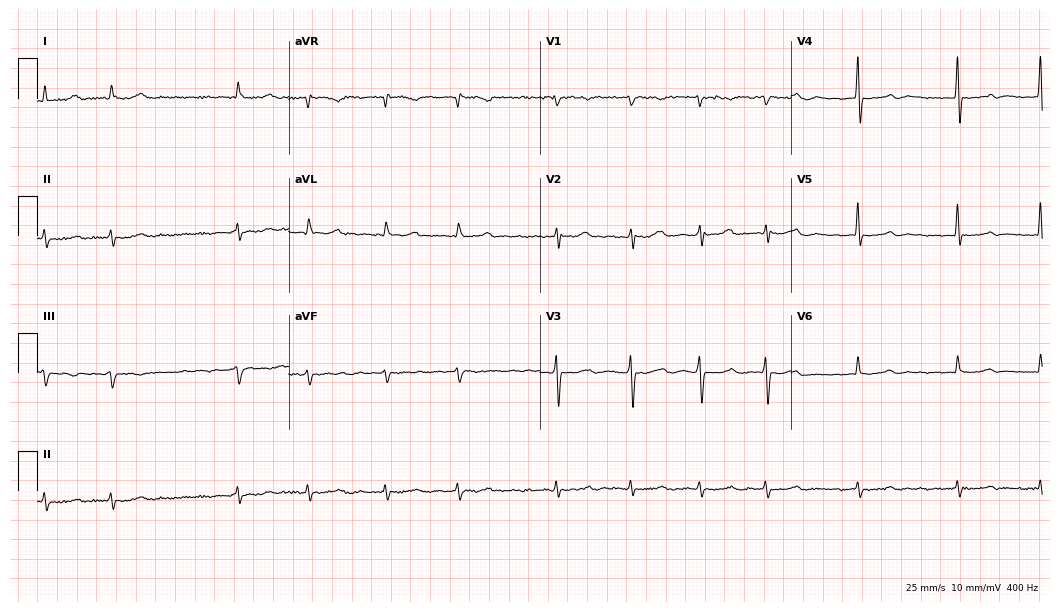
Standard 12-lead ECG recorded from a 74-year-old female patient. The tracing shows atrial fibrillation.